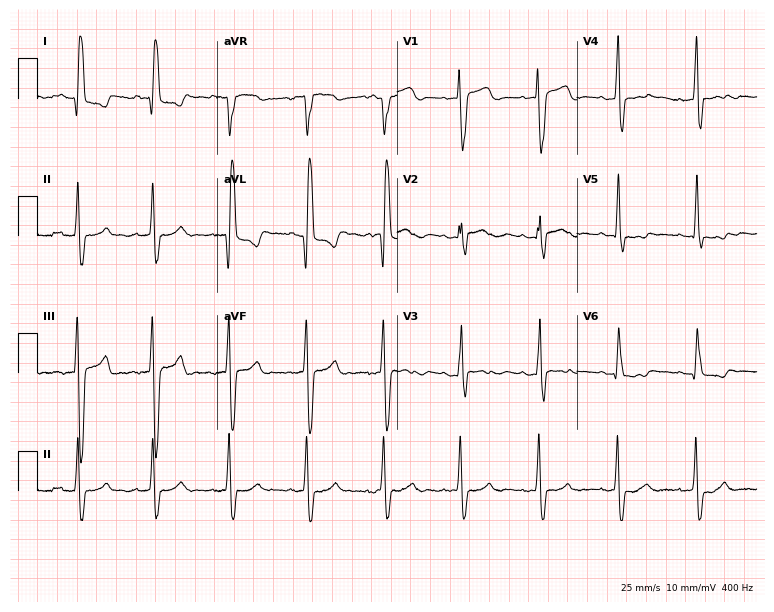
Resting 12-lead electrocardiogram. Patient: a 61-year-old female. None of these six findings is recorded: first-degree AV block, right bundle branch block, left bundle branch block, sinus bradycardia, atrial fibrillation, sinus tachycardia. Only these six findings were labelled.